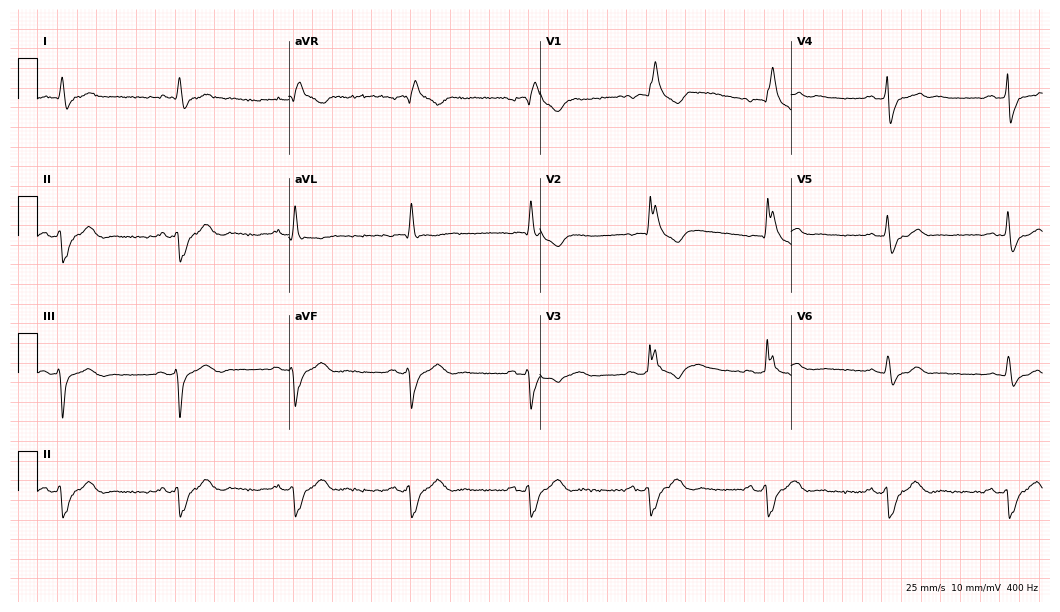
Standard 12-lead ECG recorded from a 71-year-old male patient (10.2-second recording at 400 Hz). The tracing shows right bundle branch block (RBBB).